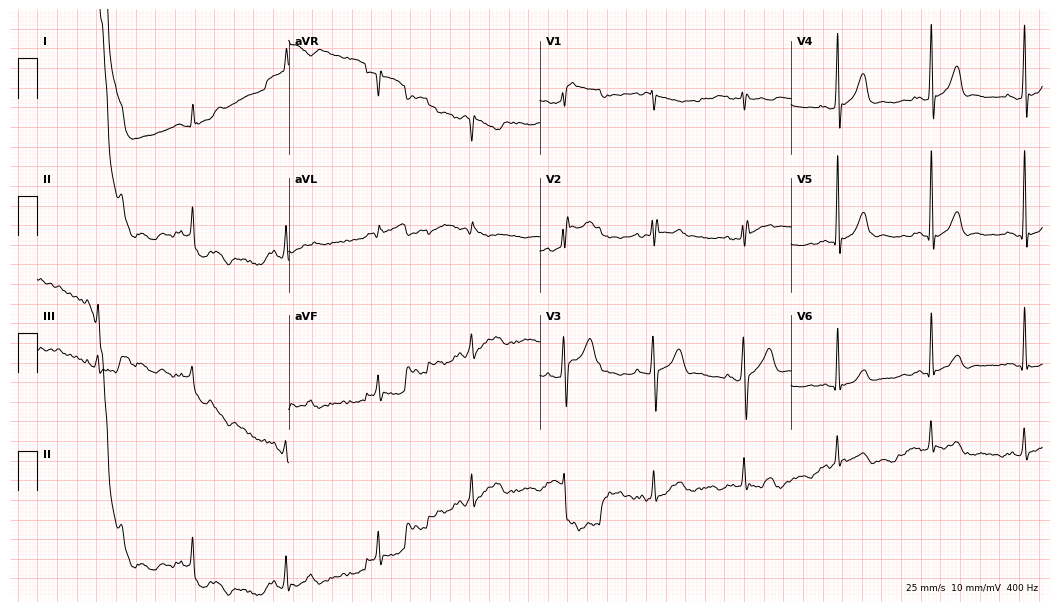
Resting 12-lead electrocardiogram (10.2-second recording at 400 Hz). Patient: a male, 65 years old. Read as a normal ECG.